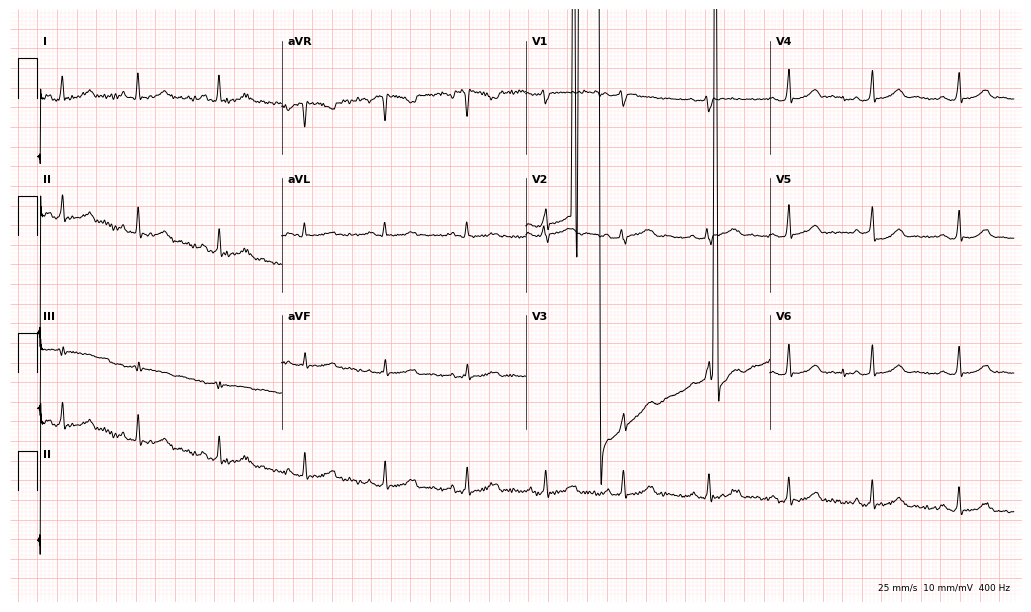
Electrocardiogram, a 25-year-old female. Of the six screened findings (first-degree AV block, right bundle branch block, left bundle branch block, sinus bradycardia, atrial fibrillation, sinus tachycardia), none is recorded.